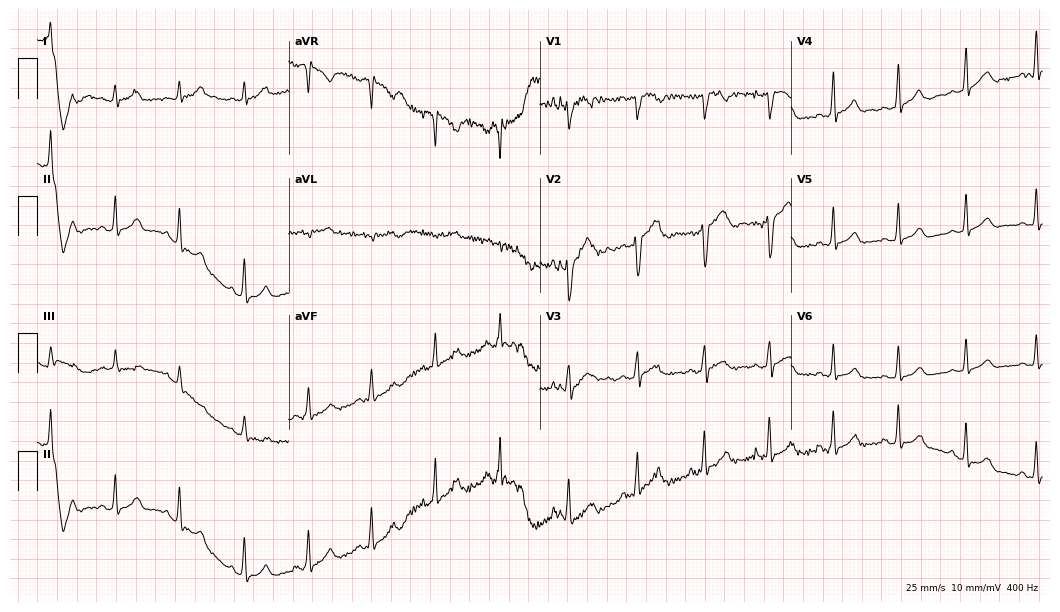
ECG — a female patient, 26 years old. Screened for six findings — first-degree AV block, right bundle branch block (RBBB), left bundle branch block (LBBB), sinus bradycardia, atrial fibrillation (AF), sinus tachycardia — none is recorded. Only these six findings were labelled.